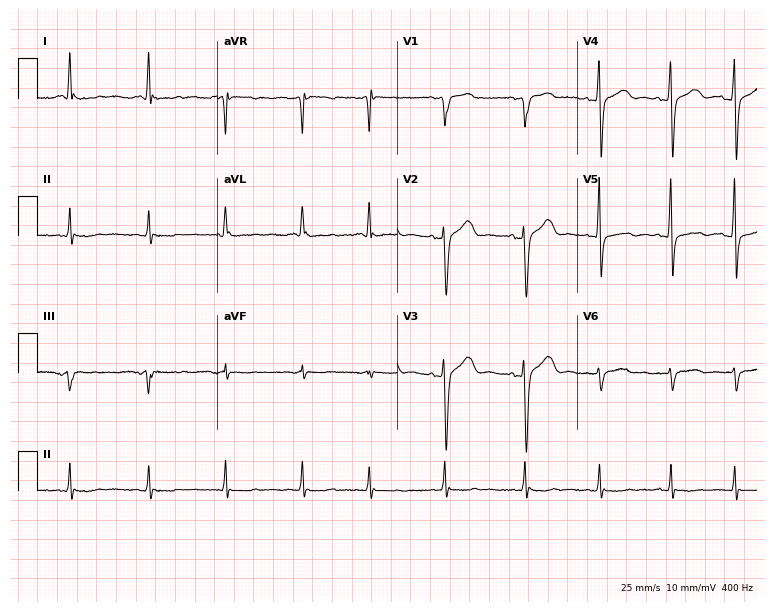
Resting 12-lead electrocardiogram. Patient: a 58-year-old woman. None of these six findings is recorded: first-degree AV block, right bundle branch block, left bundle branch block, sinus bradycardia, atrial fibrillation, sinus tachycardia. Findings outside these six are not listed.